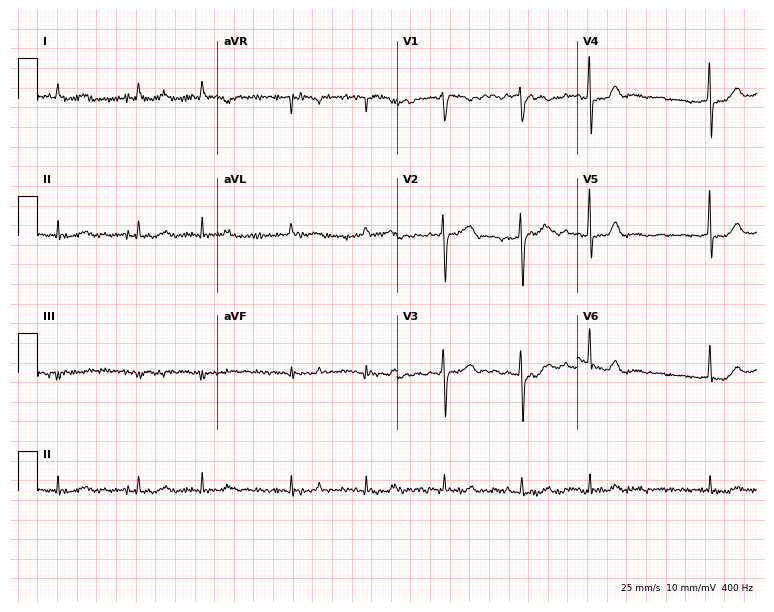
Electrocardiogram, an 84-year-old male patient. Interpretation includes atrial fibrillation (AF).